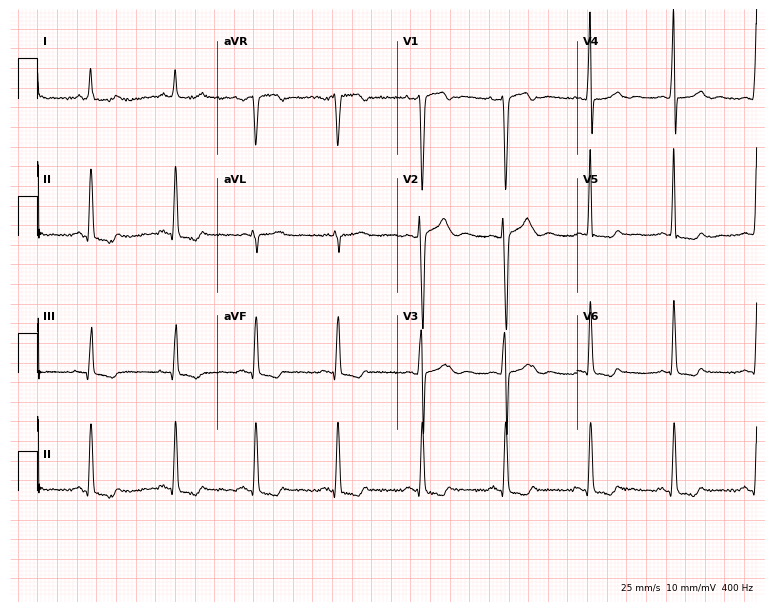
ECG (7.3-second recording at 400 Hz) — a 44-year-old female patient. Screened for six findings — first-degree AV block, right bundle branch block, left bundle branch block, sinus bradycardia, atrial fibrillation, sinus tachycardia — none is recorded.